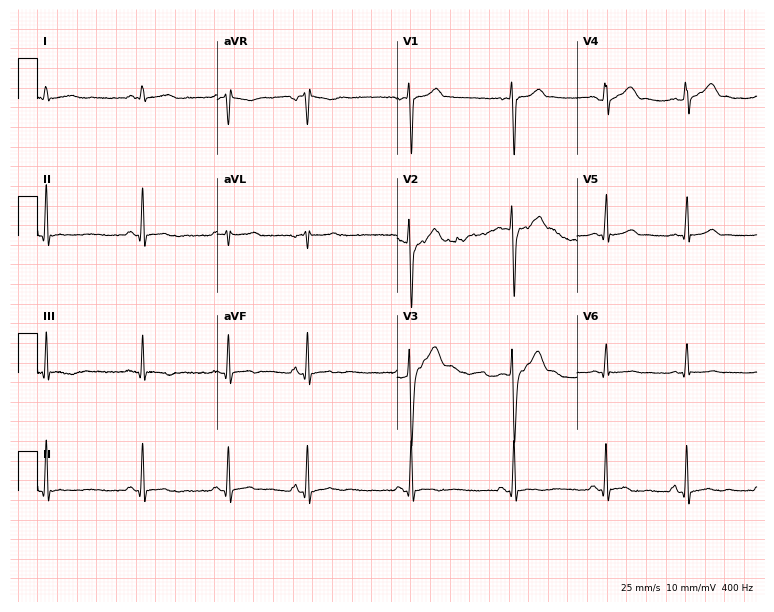
Standard 12-lead ECG recorded from a man, 19 years old. Read as a normal ECG.